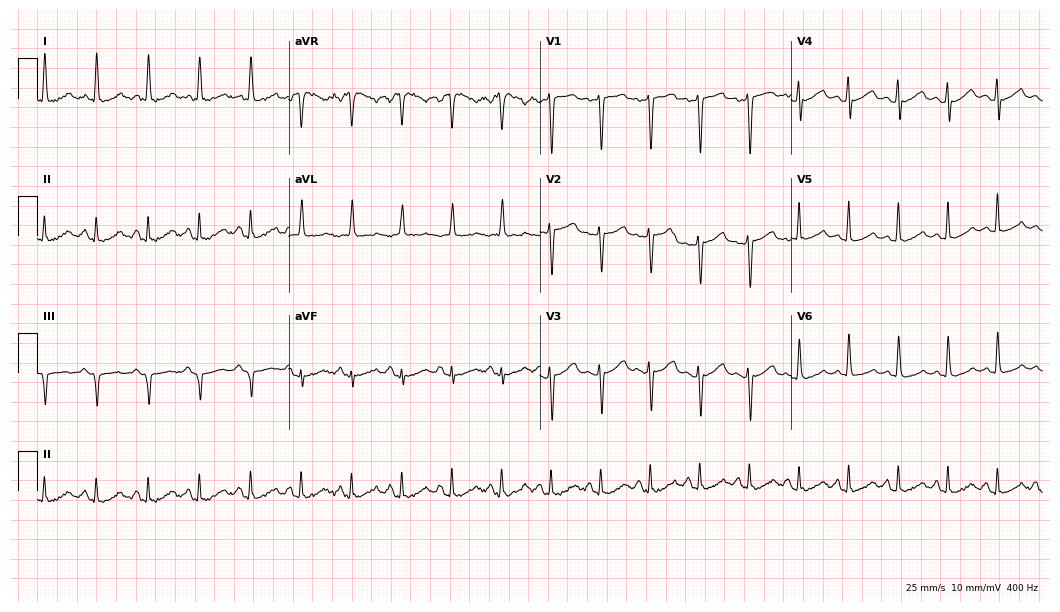
Electrocardiogram, a 39-year-old female. Interpretation includes sinus tachycardia (a sinus rate of 100 beats per minute or more).